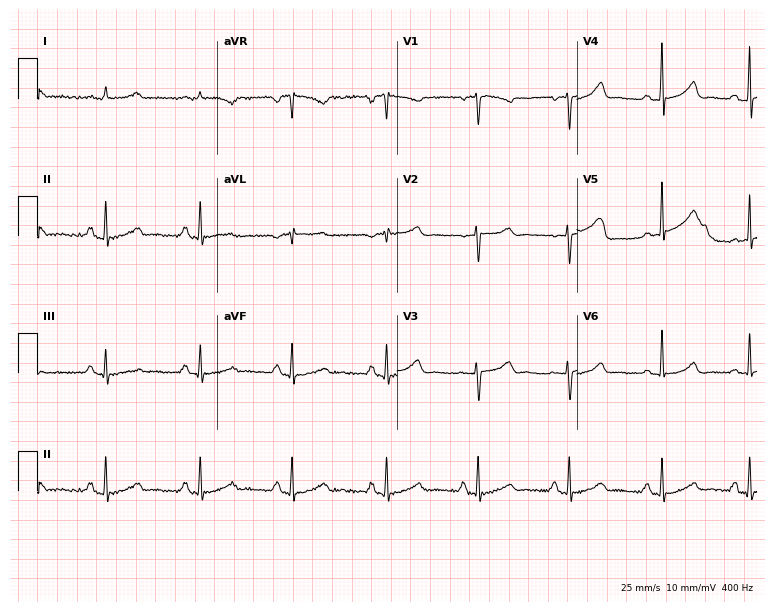
Electrocardiogram (7.3-second recording at 400 Hz), a 36-year-old woman. Of the six screened findings (first-degree AV block, right bundle branch block, left bundle branch block, sinus bradycardia, atrial fibrillation, sinus tachycardia), none is recorded. Other findings, if any, are not listed.